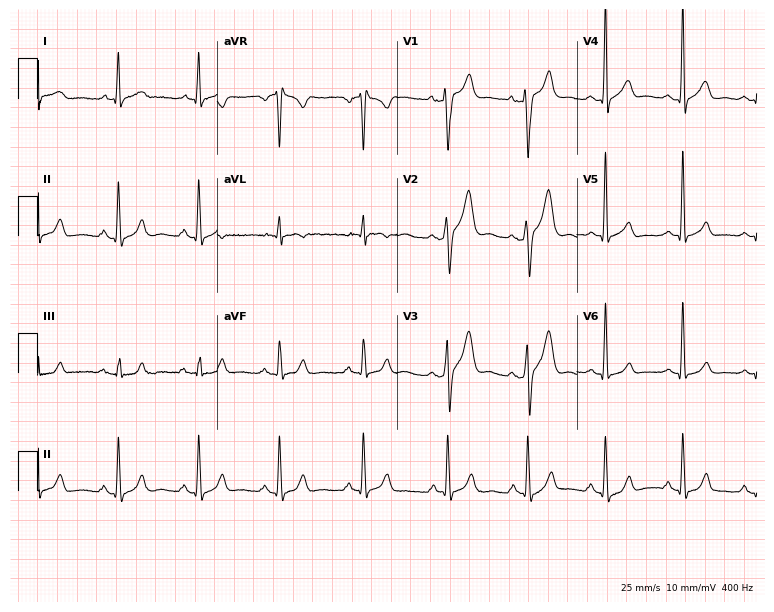
12-lead ECG from a man, 28 years old. Screened for six findings — first-degree AV block, right bundle branch block, left bundle branch block, sinus bradycardia, atrial fibrillation, sinus tachycardia — none is recorded. Only these six findings were labelled.